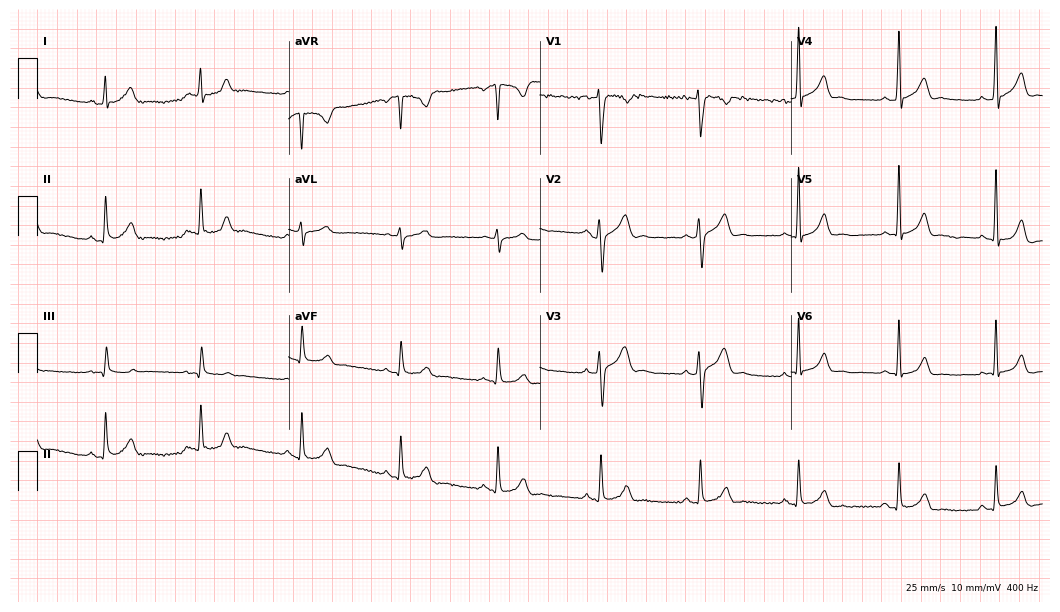
12-lead ECG from a man, 20 years old. Recorded interpretation: within normal limits.